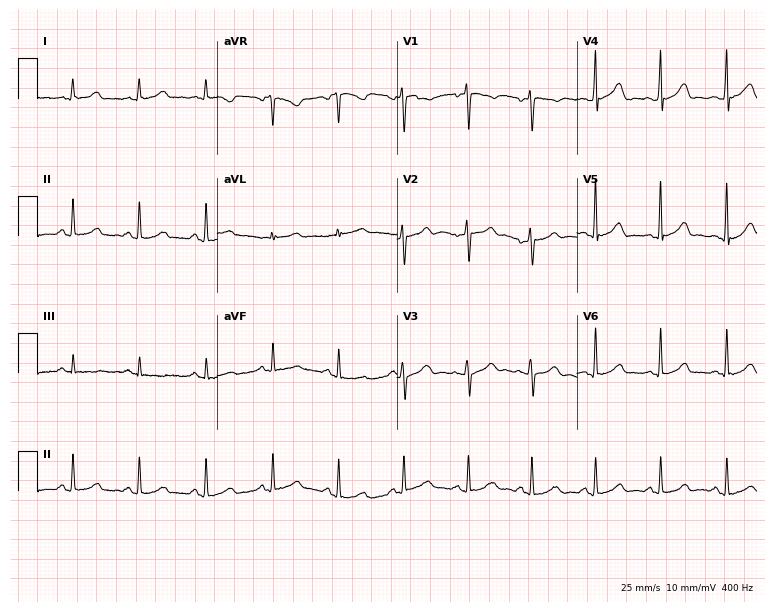
12-lead ECG from a 33-year-old female. Labelled as a normal ECG.